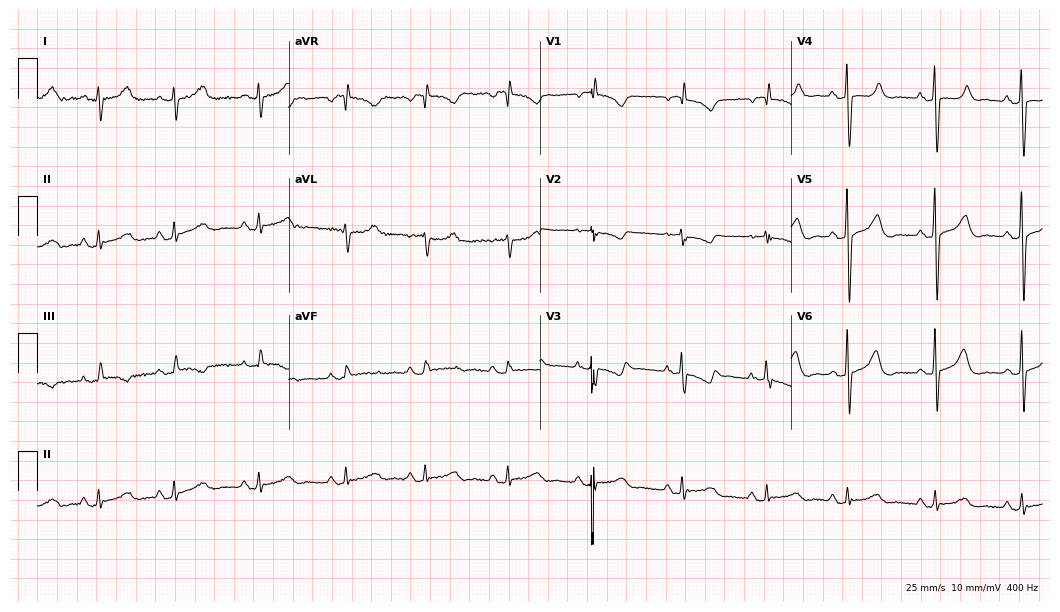
Resting 12-lead electrocardiogram (10.2-second recording at 400 Hz). Patient: a female, 67 years old. None of these six findings is recorded: first-degree AV block, right bundle branch block, left bundle branch block, sinus bradycardia, atrial fibrillation, sinus tachycardia. Other findings, if any, are not listed.